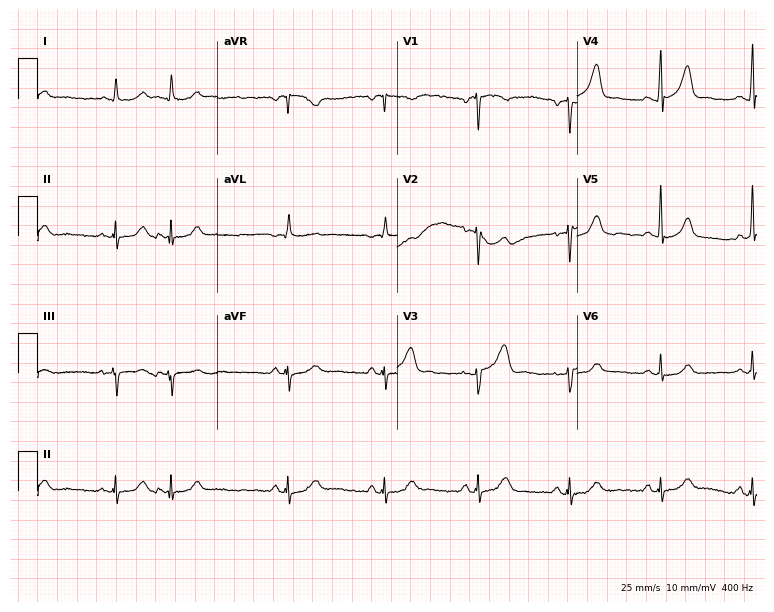
12-lead ECG from a male patient, 60 years old (7.3-second recording at 400 Hz). No first-degree AV block, right bundle branch block (RBBB), left bundle branch block (LBBB), sinus bradycardia, atrial fibrillation (AF) or sinus tachycardia recorded for this tracing.